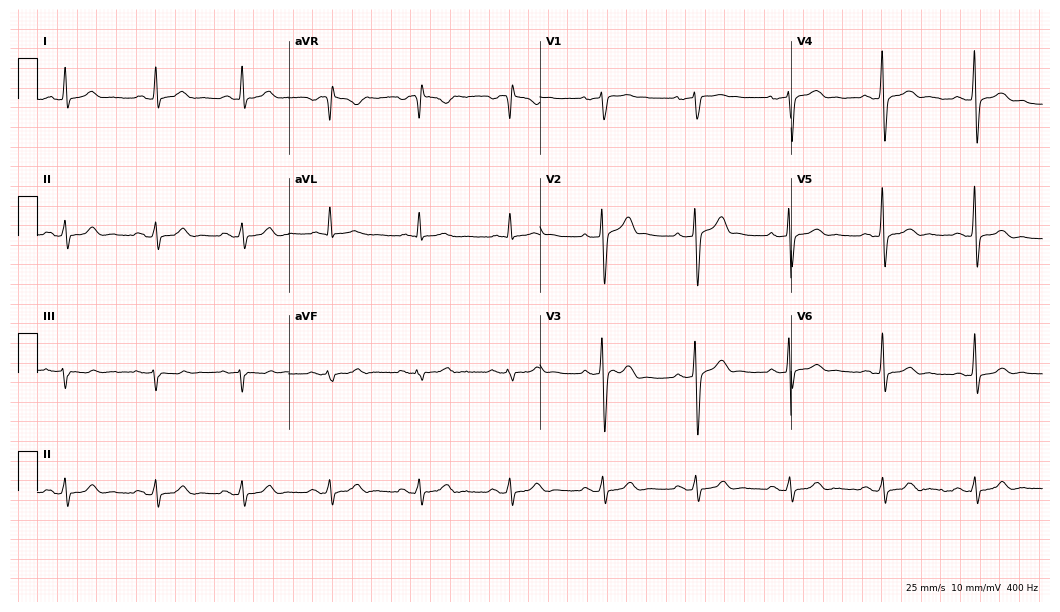
ECG — a male patient, 69 years old. Screened for six findings — first-degree AV block, right bundle branch block (RBBB), left bundle branch block (LBBB), sinus bradycardia, atrial fibrillation (AF), sinus tachycardia — none is recorded. Only these six findings were labelled.